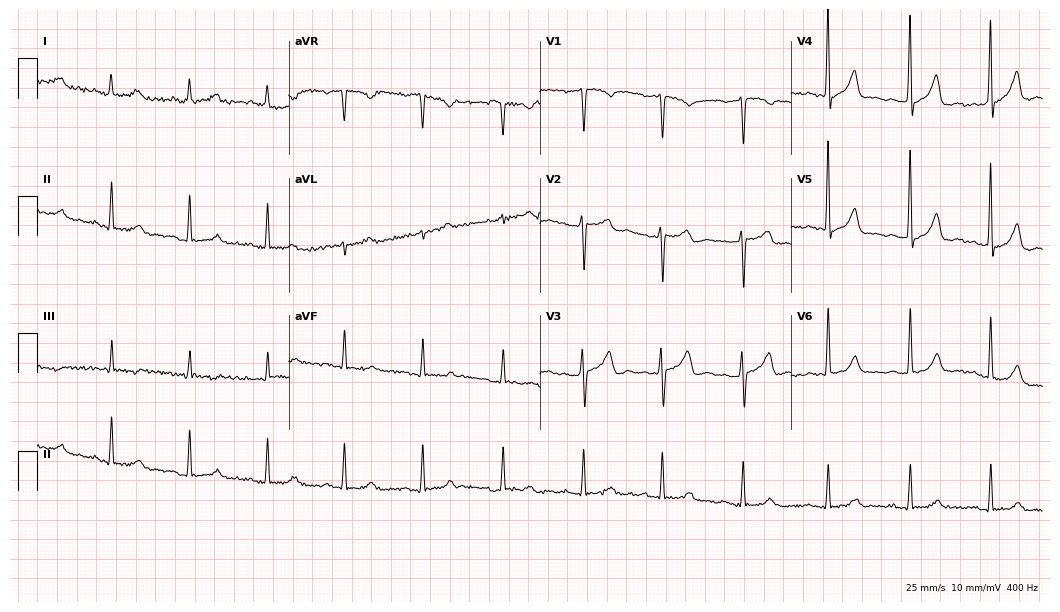
12-lead ECG from a male patient, 49 years old. No first-degree AV block, right bundle branch block (RBBB), left bundle branch block (LBBB), sinus bradycardia, atrial fibrillation (AF) or sinus tachycardia recorded for this tracing.